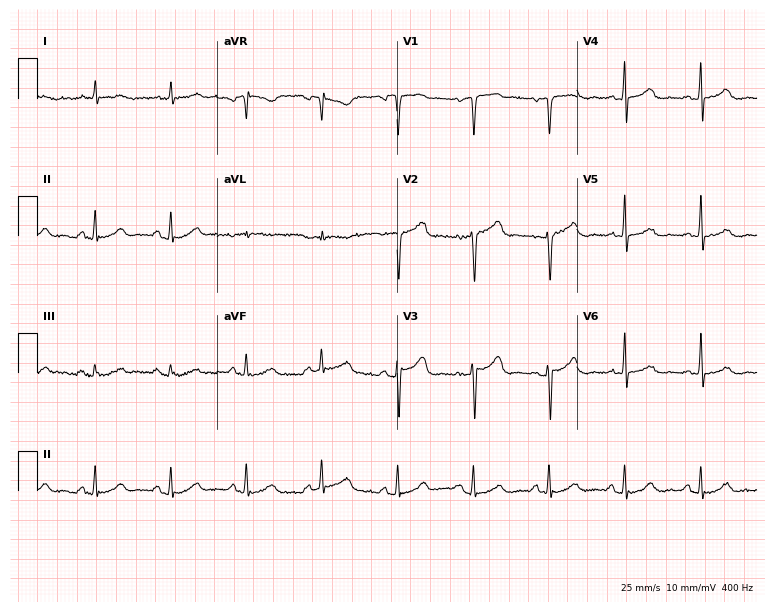
12-lead ECG from a 79-year-old male. No first-degree AV block, right bundle branch block, left bundle branch block, sinus bradycardia, atrial fibrillation or sinus tachycardia recorded for this tracing. Findings outside these six are not listed.